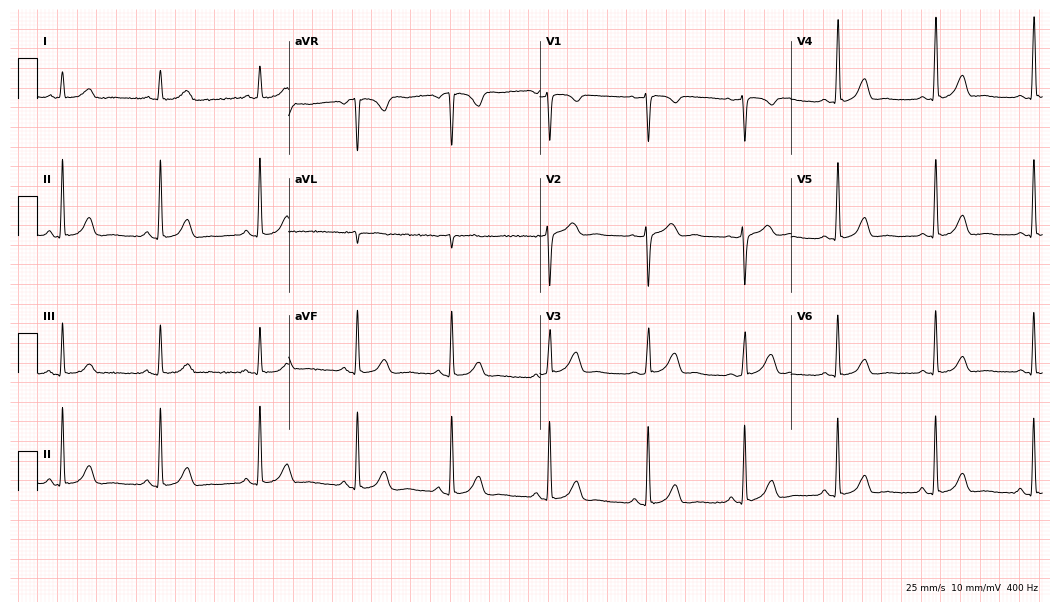
12-lead ECG from a female patient, 39 years old. Recorded interpretation: within normal limits.